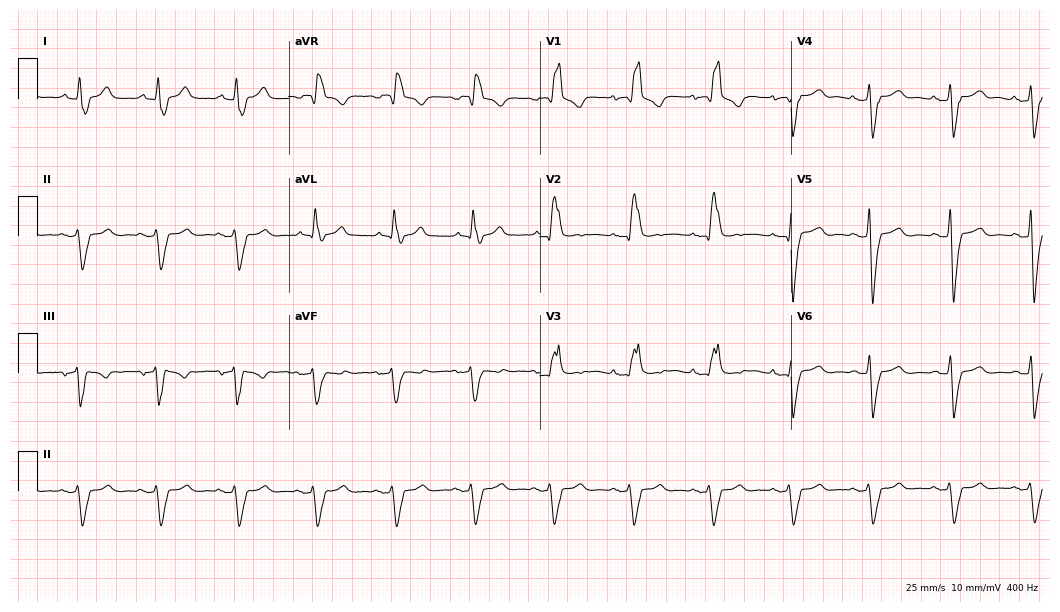
Electrocardiogram, a man, 72 years old. Interpretation includes right bundle branch block (RBBB).